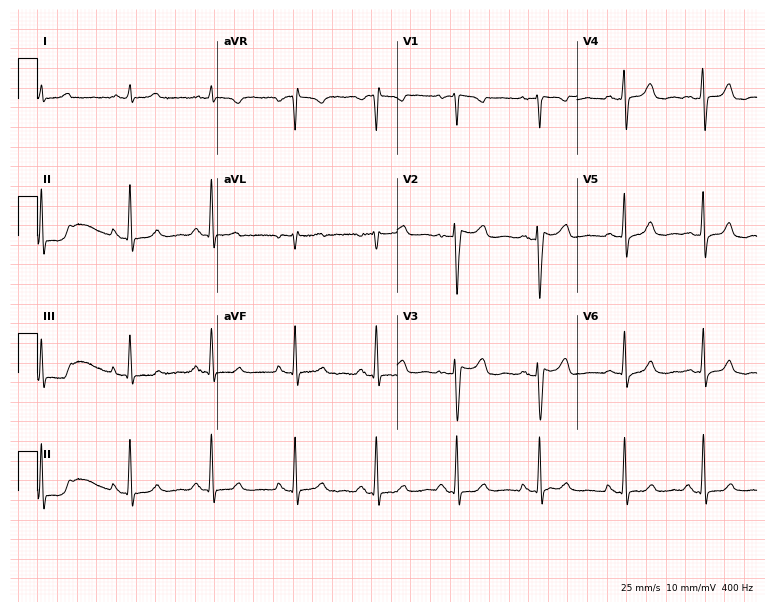
Standard 12-lead ECG recorded from a woman, 40 years old (7.3-second recording at 400 Hz). None of these six findings is recorded: first-degree AV block, right bundle branch block, left bundle branch block, sinus bradycardia, atrial fibrillation, sinus tachycardia. Findings outside these six are not listed.